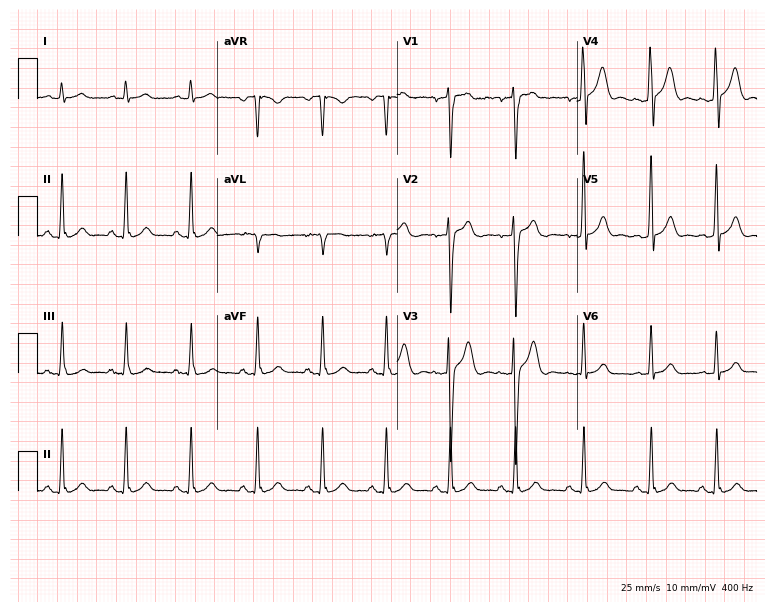
12-lead ECG from a 34-year-old man. Recorded interpretation: within normal limits.